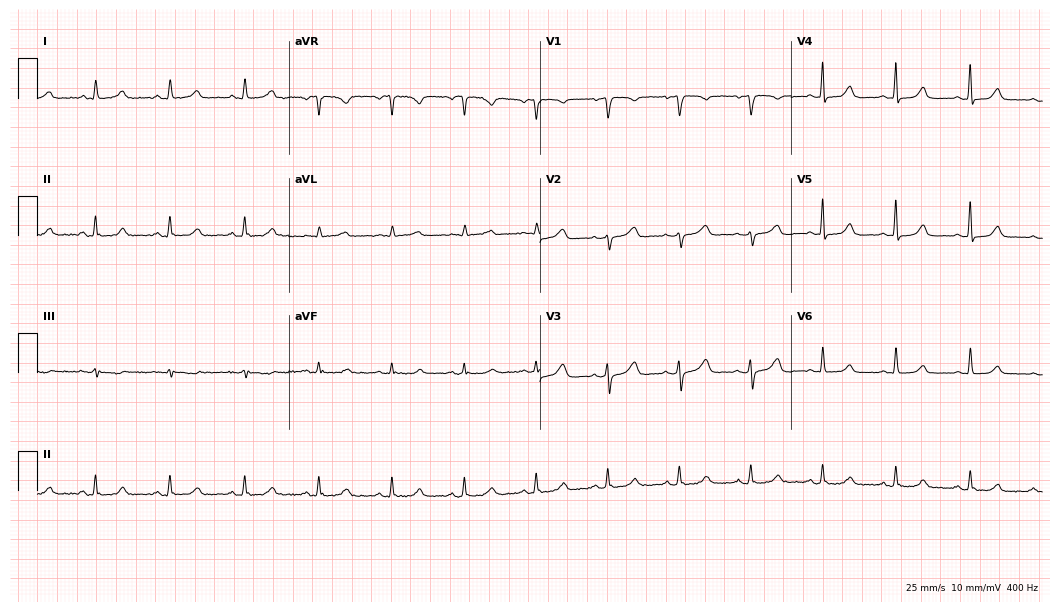
Resting 12-lead electrocardiogram. Patient: a 49-year-old woman. None of these six findings is recorded: first-degree AV block, right bundle branch block (RBBB), left bundle branch block (LBBB), sinus bradycardia, atrial fibrillation (AF), sinus tachycardia.